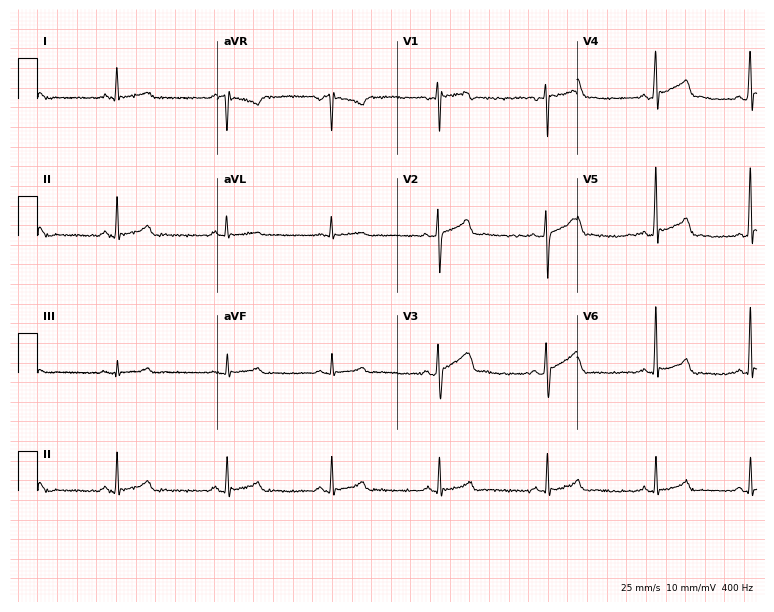
12-lead ECG from a 36-year-old male patient. No first-degree AV block, right bundle branch block, left bundle branch block, sinus bradycardia, atrial fibrillation or sinus tachycardia recorded for this tracing.